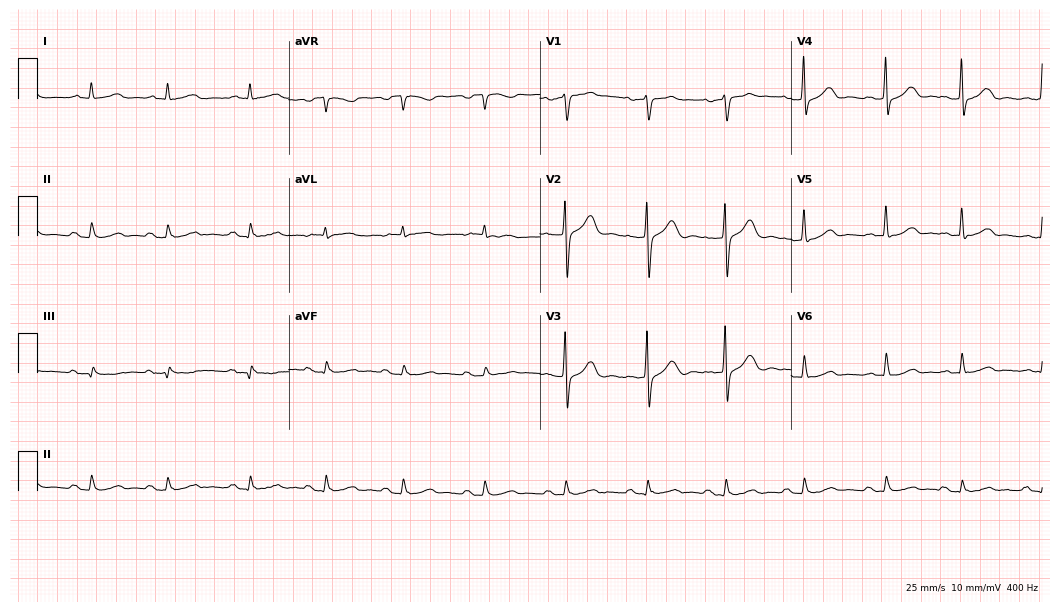
ECG (10.2-second recording at 400 Hz) — a male patient, 69 years old. Screened for six findings — first-degree AV block, right bundle branch block, left bundle branch block, sinus bradycardia, atrial fibrillation, sinus tachycardia — none is recorded. Only these six findings were labelled.